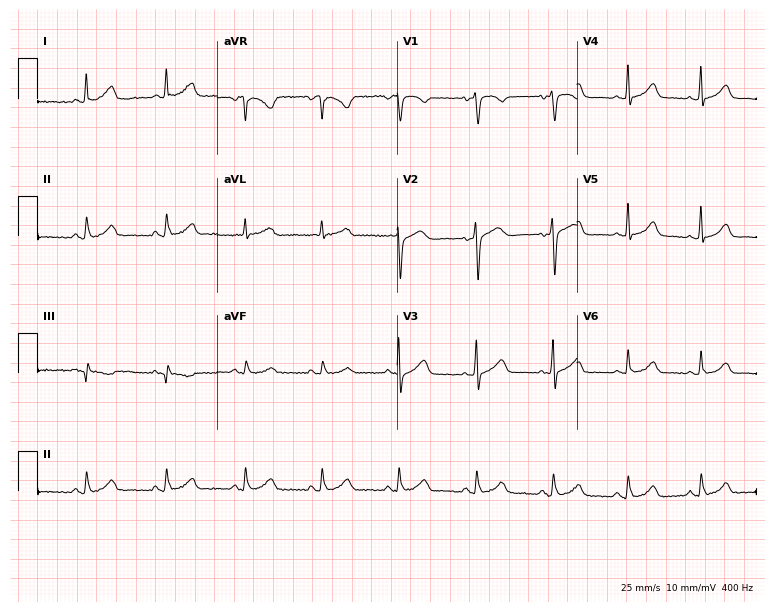
Electrocardiogram, a female, 49 years old. Of the six screened findings (first-degree AV block, right bundle branch block (RBBB), left bundle branch block (LBBB), sinus bradycardia, atrial fibrillation (AF), sinus tachycardia), none is recorded. Other findings, if any, are not listed.